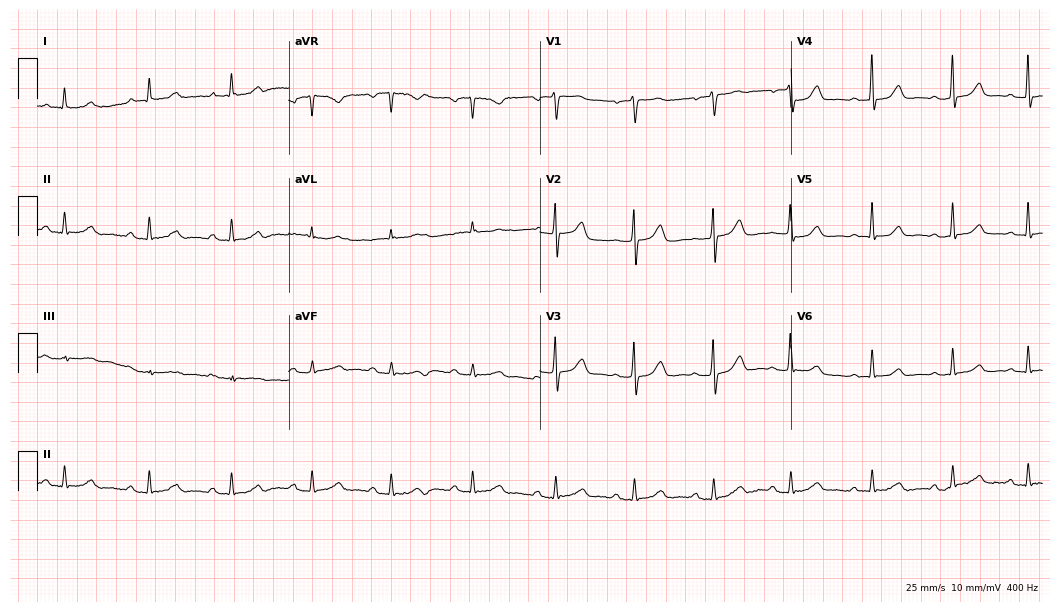
Standard 12-lead ECG recorded from a woman, 60 years old (10.2-second recording at 400 Hz). Read as a normal ECG.